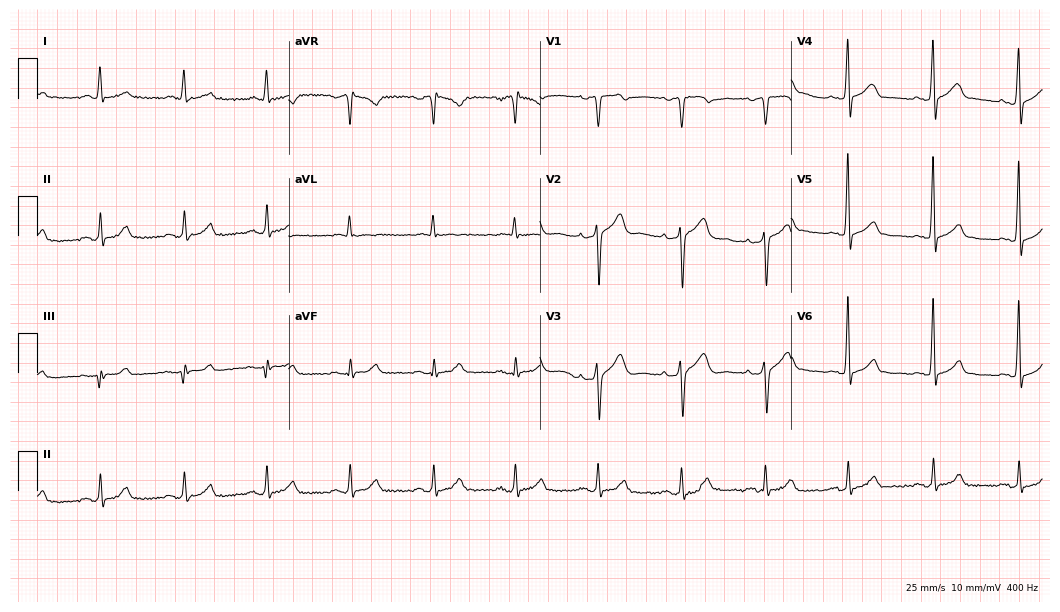
12-lead ECG from a 47-year-old male patient. Recorded interpretation: within normal limits.